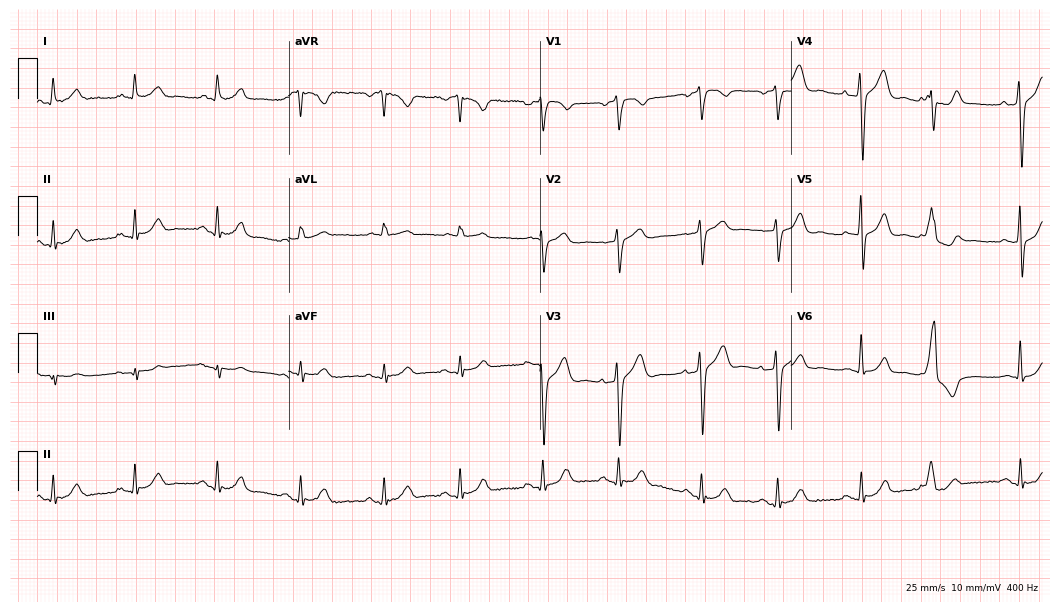
12-lead ECG from a 76-year-old male patient. Screened for six findings — first-degree AV block, right bundle branch block, left bundle branch block, sinus bradycardia, atrial fibrillation, sinus tachycardia — none is recorded. Findings outside these six are not listed.